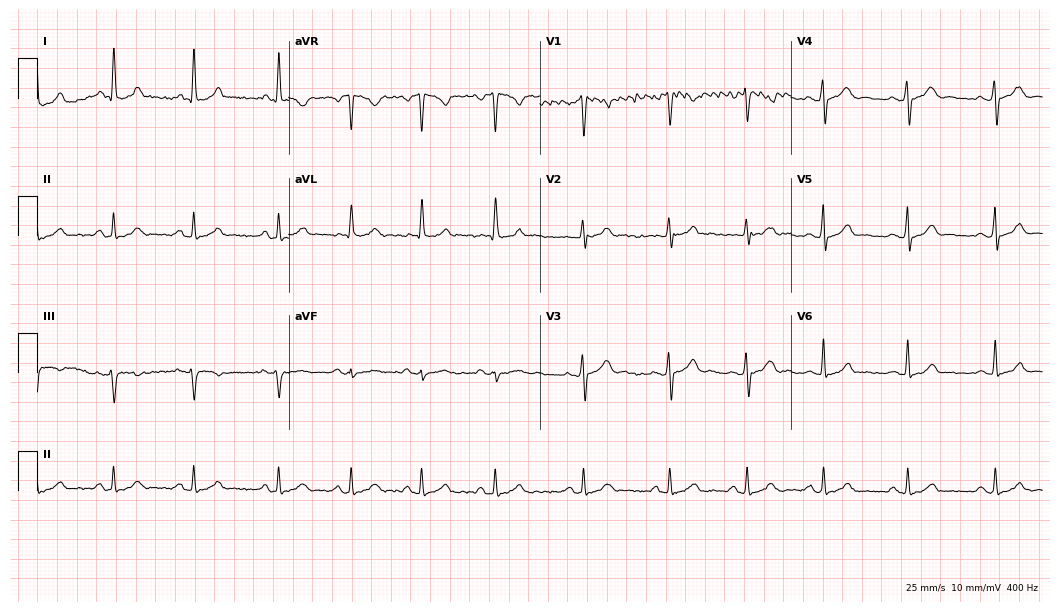
12-lead ECG (10.2-second recording at 400 Hz) from a female patient, 32 years old. Labelled as a normal ECG.